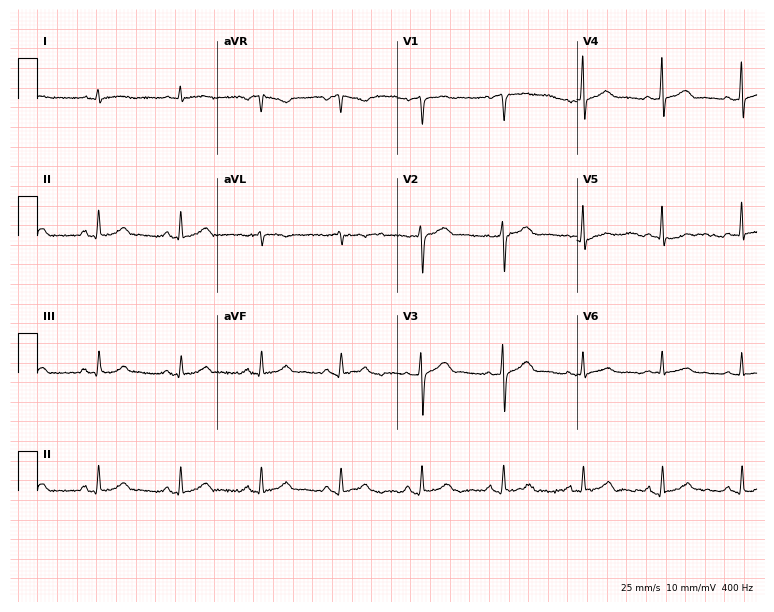
Standard 12-lead ECG recorded from a 62-year-old man (7.3-second recording at 400 Hz). None of these six findings is recorded: first-degree AV block, right bundle branch block, left bundle branch block, sinus bradycardia, atrial fibrillation, sinus tachycardia.